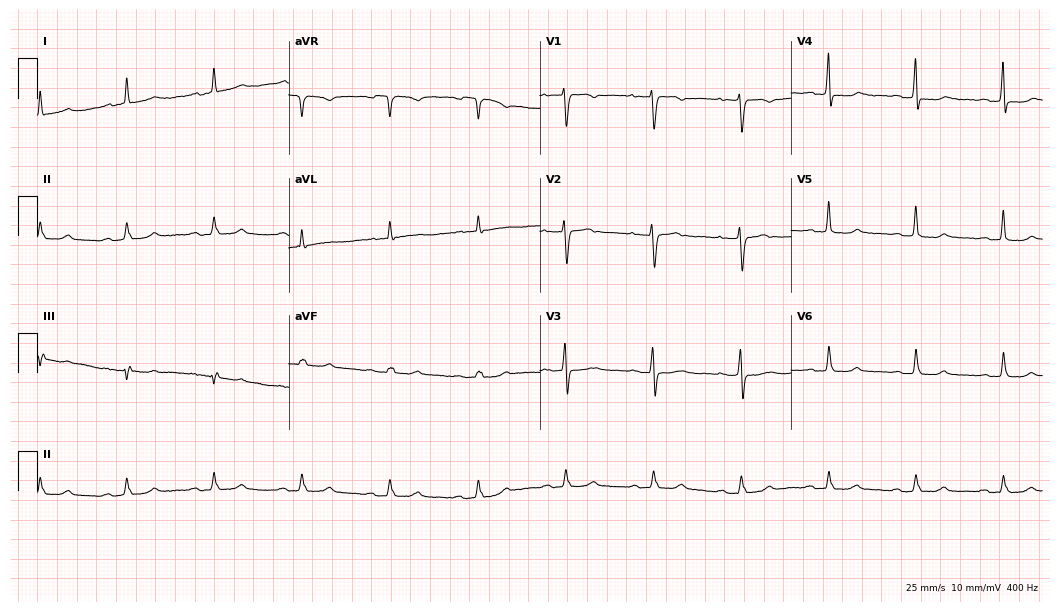
12-lead ECG from a 72-year-old female patient (10.2-second recording at 400 Hz). Shows first-degree AV block.